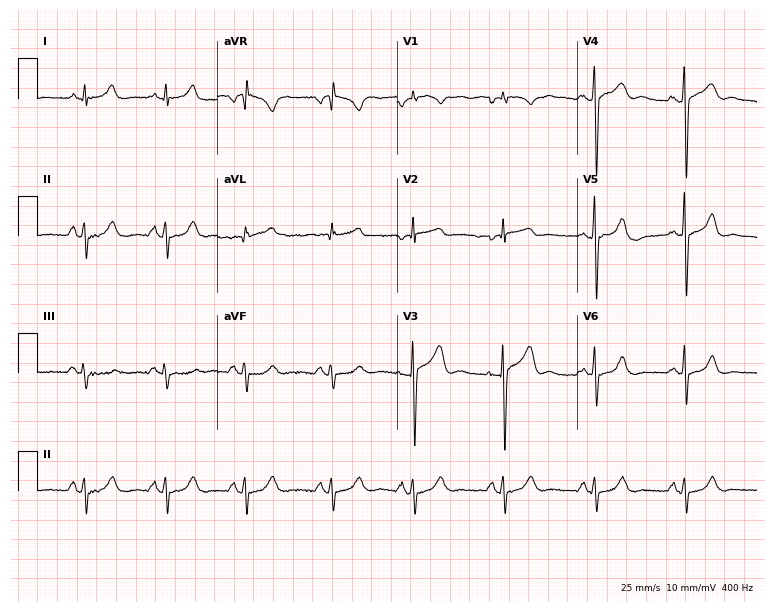
Resting 12-lead electrocardiogram (7.3-second recording at 400 Hz). Patient: a male, 57 years old. None of these six findings is recorded: first-degree AV block, right bundle branch block, left bundle branch block, sinus bradycardia, atrial fibrillation, sinus tachycardia. Only these six findings were labelled.